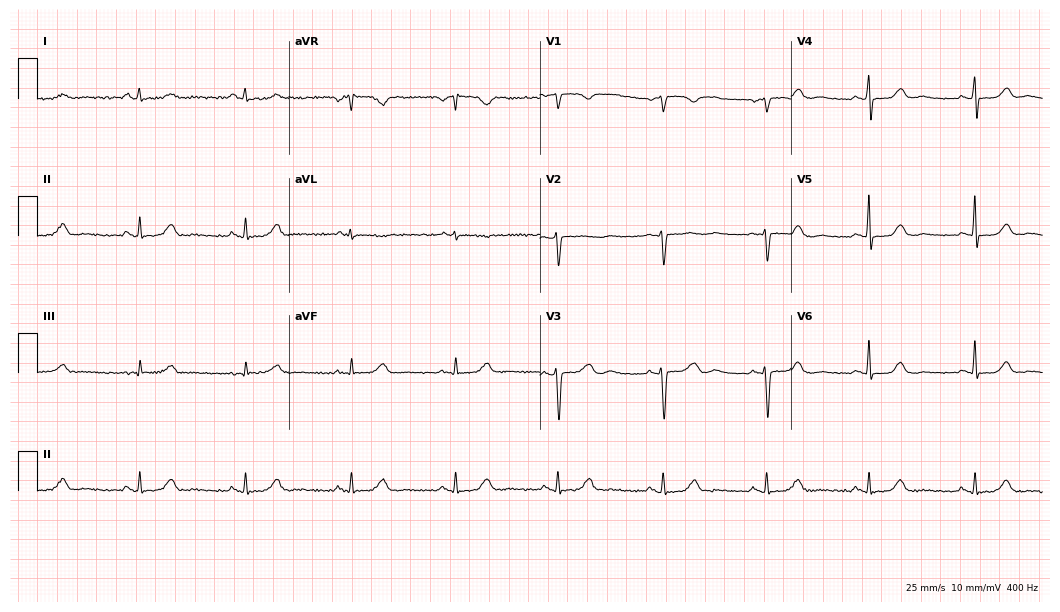
Standard 12-lead ECG recorded from a woman, 36 years old (10.2-second recording at 400 Hz). None of these six findings is recorded: first-degree AV block, right bundle branch block (RBBB), left bundle branch block (LBBB), sinus bradycardia, atrial fibrillation (AF), sinus tachycardia.